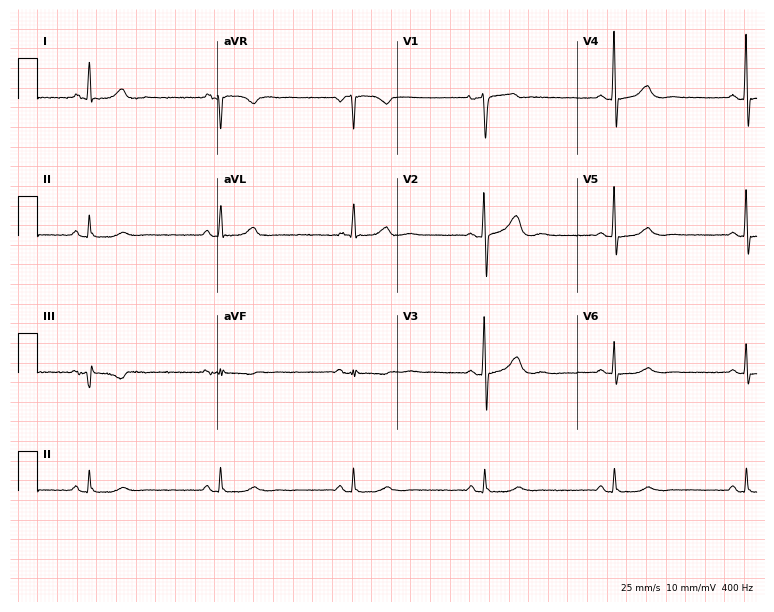
Resting 12-lead electrocardiogram (7.3-second recording at 400 Hz). Patient: a male, 68 years old. None of these six findings is recorded: first-degree AV block, right bundle branch block, left bundle branch block, sinus bradycardia, atrial fibrillation, sinus tachycardia.